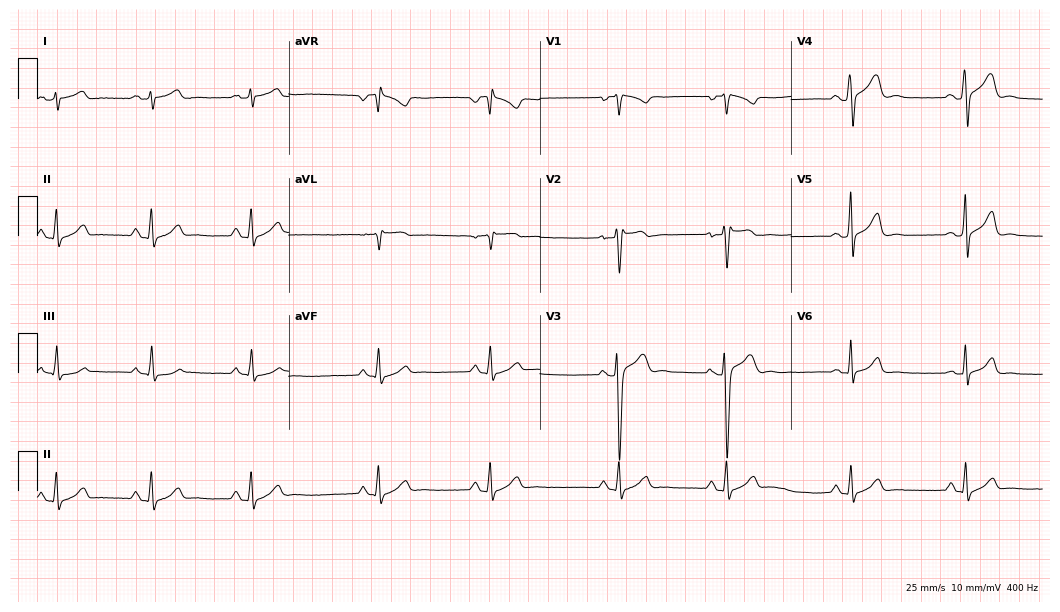
Standard 12-lead ECG recorded from a 28-year-old man (10.2-second recording at 400 Hz). None of these six findings is recorded: first-degree AV block, right bundle branch block (RBBB), left bundle branch block (LBBB), sinus bradycardia, atrial fibrillation (AF), sinus tachycardia.